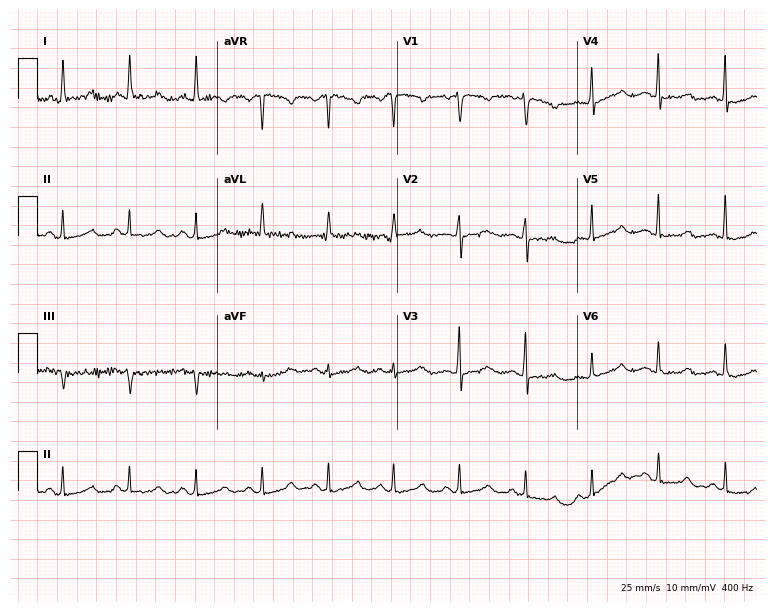
Resting 12-lead electrocardiogram (7.3-second recording at 400 Hz). Patient: a 58-year-old female. None of these six findings is recorded: first-degree AV block, right bundle branch block, left bundle branch block, sinus bradycardia, atrial fibrillation, sinus tachycardia.